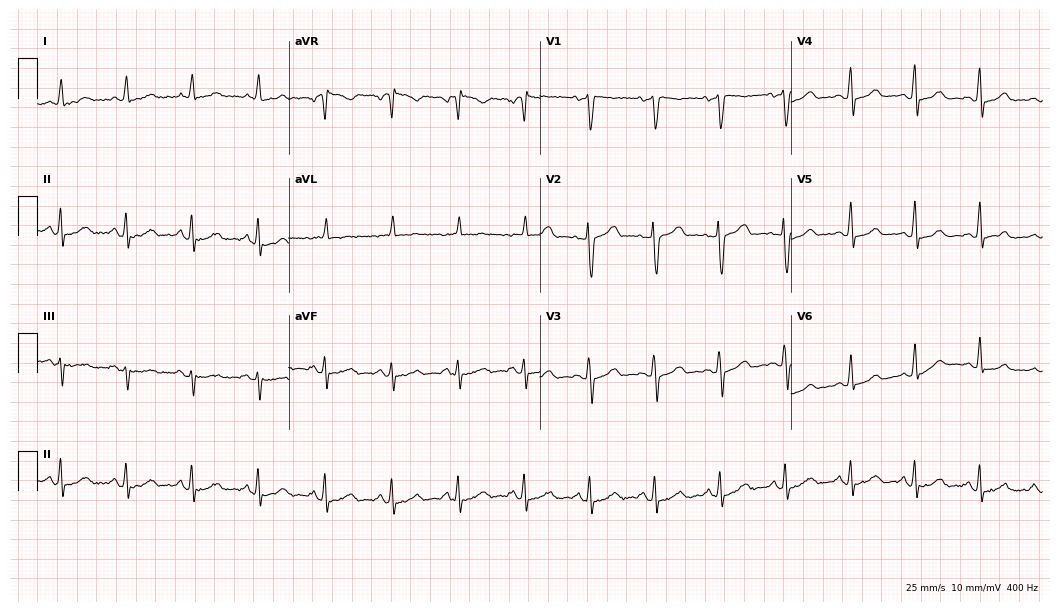
Standard 12-lead ECG recorded from a woman, 60 years old. None of these six findings is recorded: first-degree AV block, right bundle branch block (RBBB), left bundle branch block (LBBB), sinus bradycardia, atrial fibrillation (AF), sinus tachycardia. Findings outside these six are not listed.